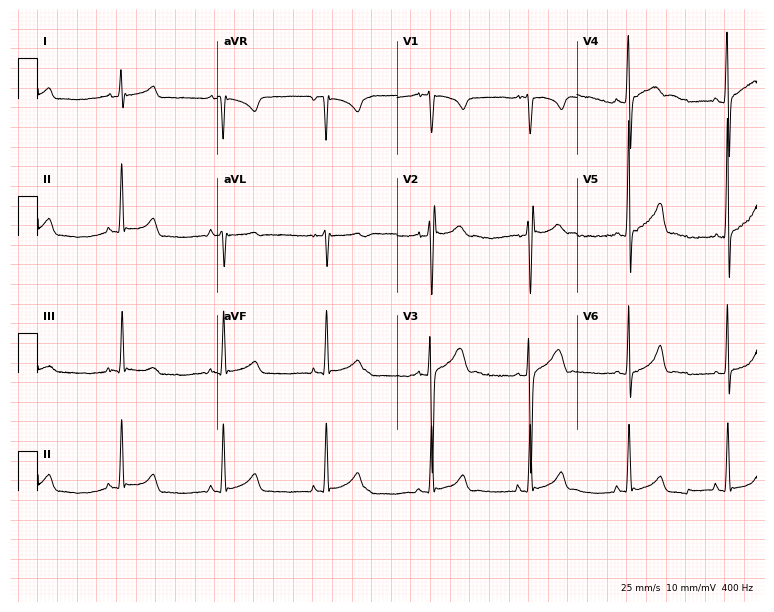
12-lead ECG from a 17-year-old man (7.3-second recording at 400 Hz). No first-degree AV block, right bundle branch block, left bundle branch block, sinus bradycardia, atrial fibrillation or sinus tachycardia recorded for this tracing.